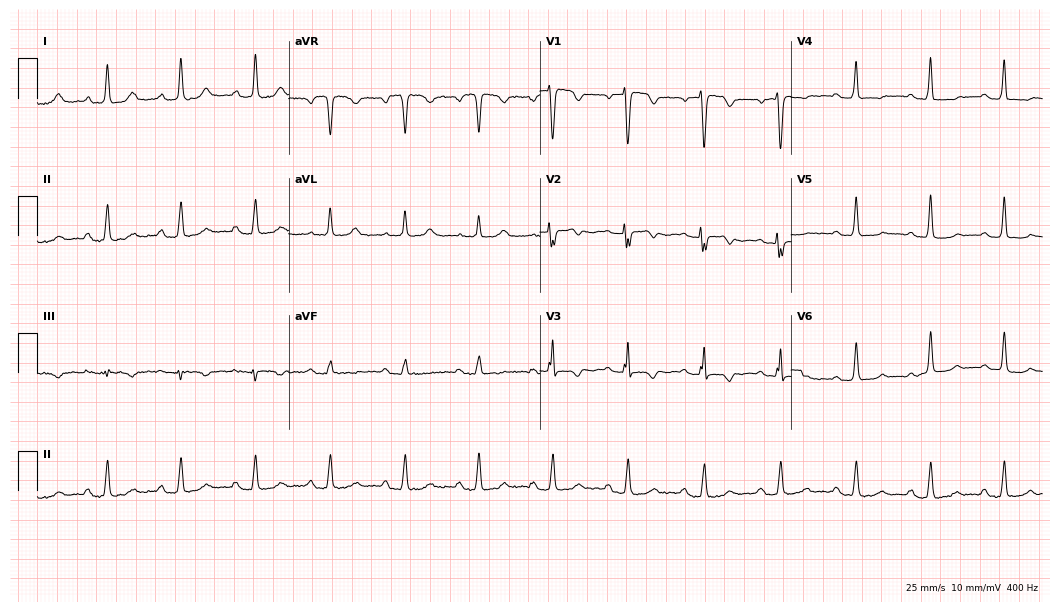
12-lead ECG (10.2-second recording at 400 Hz) from a 71-year-old female. Screened for six findings — first-degree AV block, right bundle branch block, left bundle branch block, sinus bradycardia, atrial fibrillation, sinus tachycardia — none is recorded.